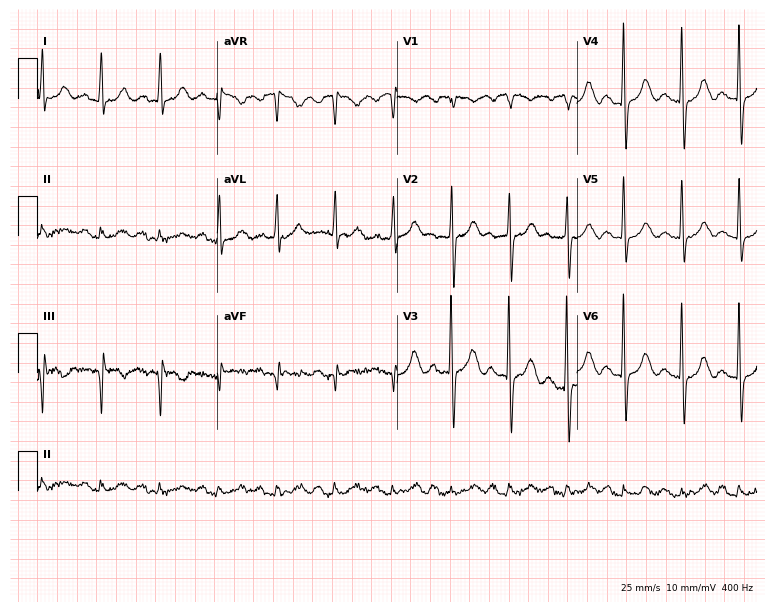
Resting 12-lead electrocardiogram (7.3-second recording at 400 Hz). Patient: a 69-year-old man. The tracing shows sinus tachycardia (a sinus rate of 100 beats per minute or more).